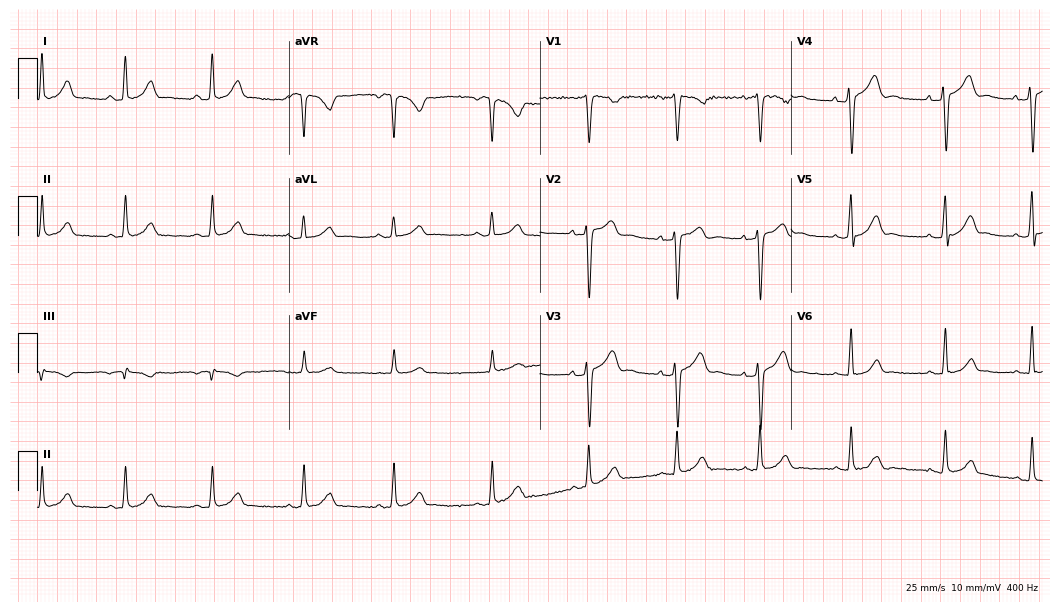
12-lead ECG from a female, 24 years old (10.2-second recording at 400 Hz). Recorded interpretation: within normal limits.